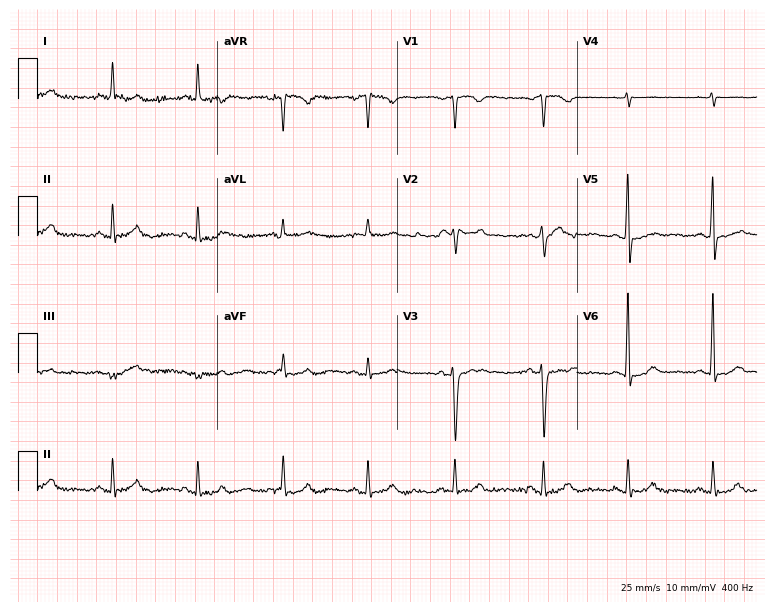
12-lead ECG from a 43-year-old woman. Screened for six findings — first-degree AV block, right bundle branch block (RBBB), left bundle branch block (LBBB), sinus bradycardia, atrial fibrillation (AF), sinus tachycardia — none is recorded. Findings outside these six are not listed.